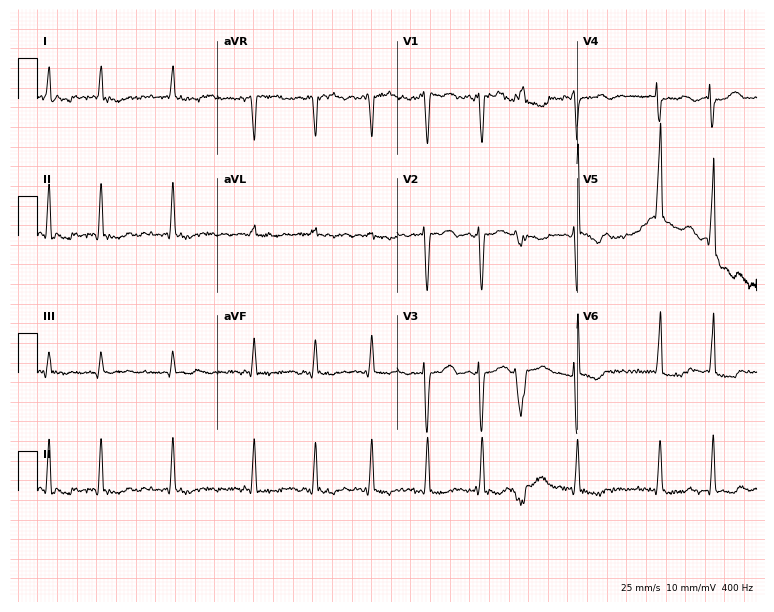
Resting 12-lead electrocardiogram. Patient: a 64-year-old woman. The tracing shows atrial fibrillation (AF).